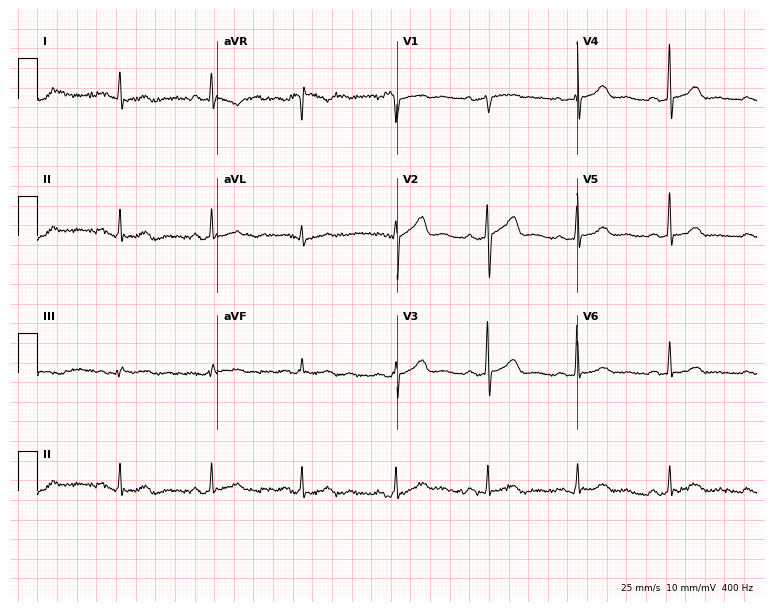
Resting 12-lead electrocardiogram (7.3-second recording at 400 Hz). Patient: a female, 60 years old. None of these six findings is recorded: first-degree AV block, right bundle branch block, left bundle branch block, sinus bradycardia, atrial fibrillation, sinus tachycardia.